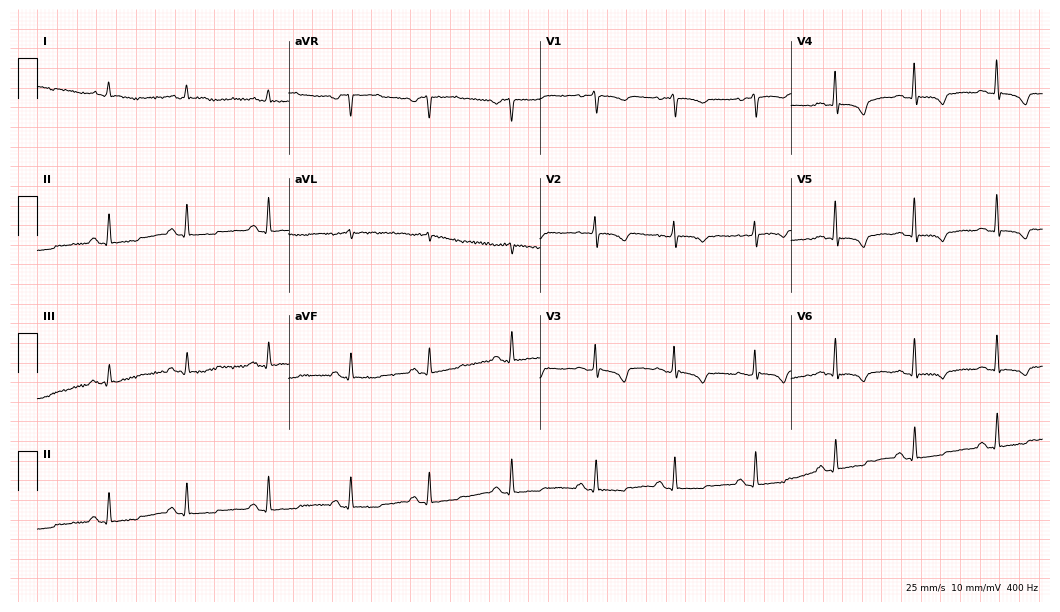
Standard 12-lead ECG recorded from a 57-year-old woman. None of these six findings is recorded: first-degree AV block, right bundle branch block, left bundle branch block, sinus bradycardia, atrial fibrillation, sinus tachycardia. Findings outside these six are not listed.